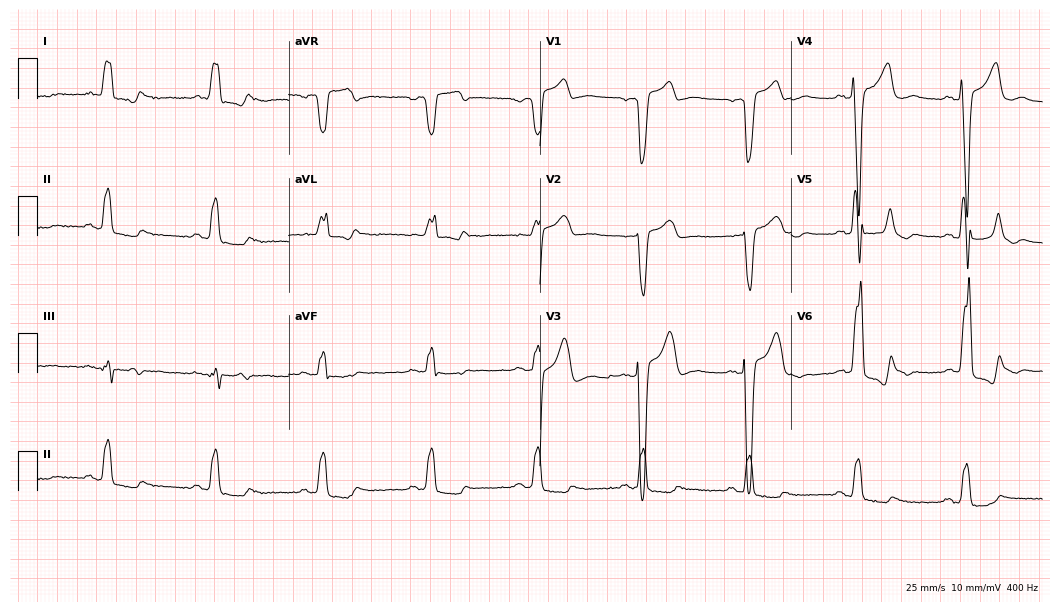
12-lead ECG from a 57-year-old male (10.2-second recording at 400 Hz). Shows left bundle branch block.